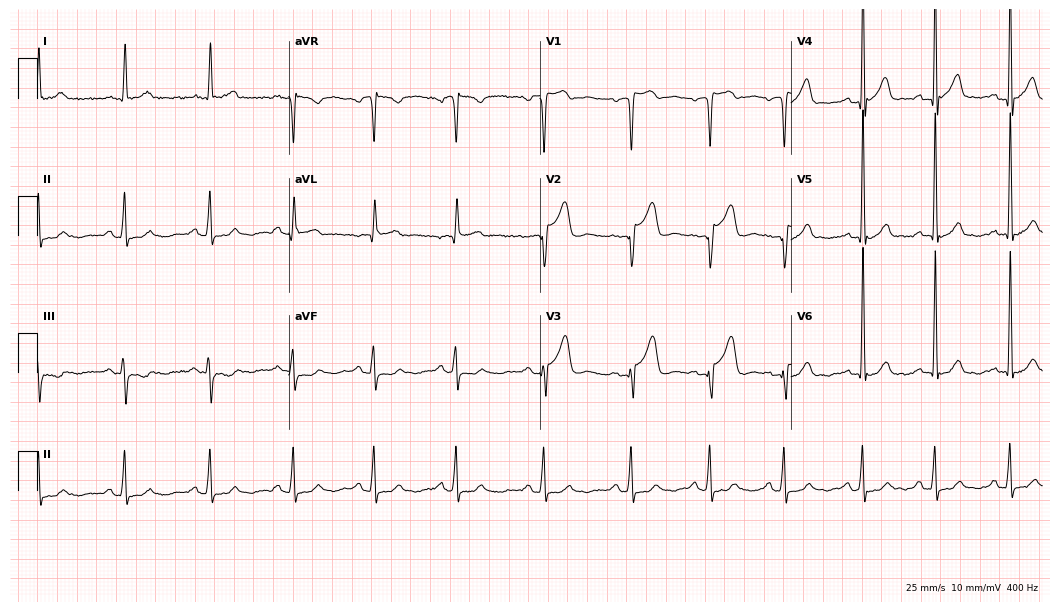
ECG — a male, 54 years old. Screened for six findings — first-degree AV block, right bundle branch block (RBBB), left bundle branch block (LBBB), sinus bradycardia, atrial fibrillation (AF), sinus tachycardia — none is recorded. Findings outside these six are not listed.